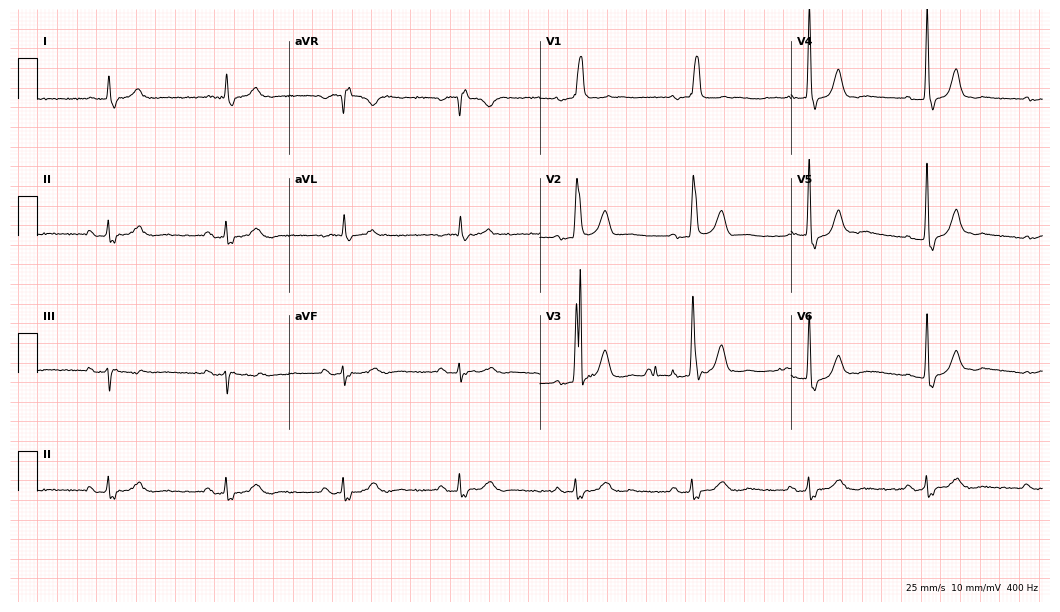
12-lead ECG from a man, 82 years old. Screened for six findings — first-degree AV block, right bundle branch block, left bundle branch block, sinus bradycardia, atrial fibrillation, sinus tachycardia — none is recorded.